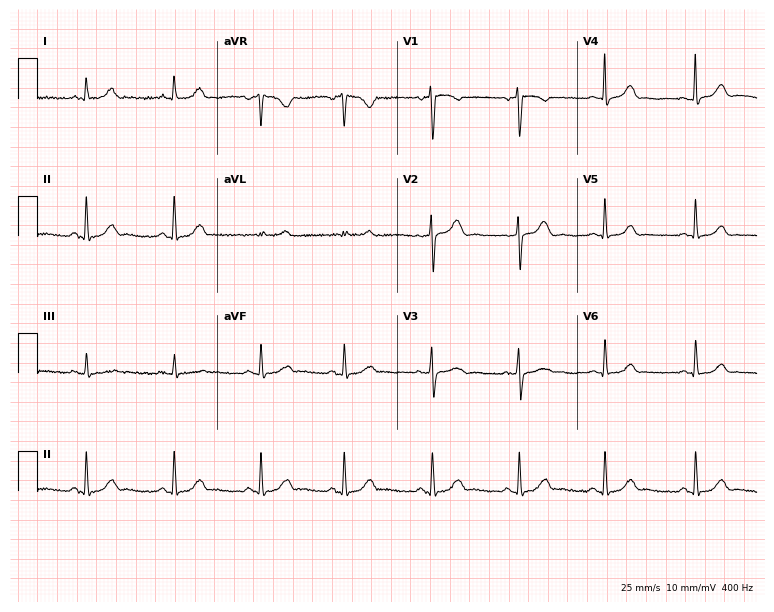
12-lead ECG (7.3-second recording at 400 Hz) from a 22-year-old woman. Labelled as a normal ECG.